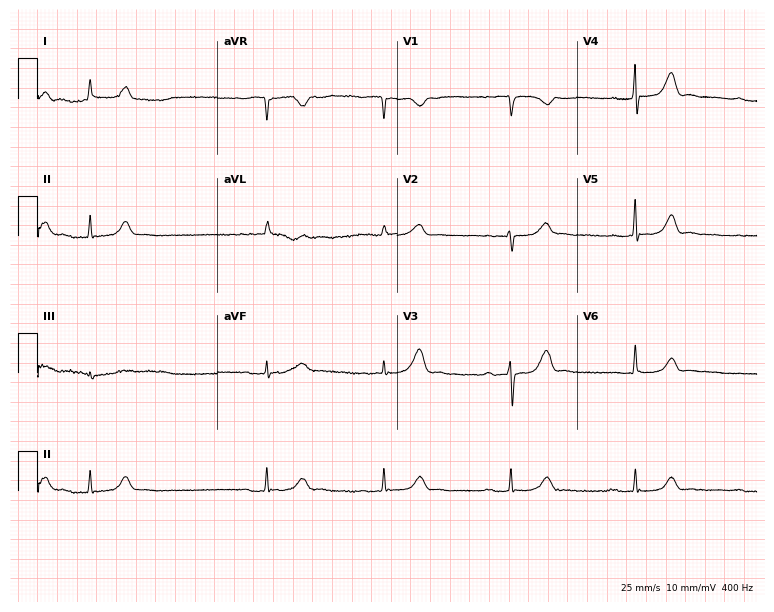
Resting 12-lead electrocardiogram (7.3-second recording at 400 Hz). Patient: a 77-year-old female. The tracing shows sinus bradycardia (a sinus rate of 50 beats per minute or less), atrial fibrillation (AF).